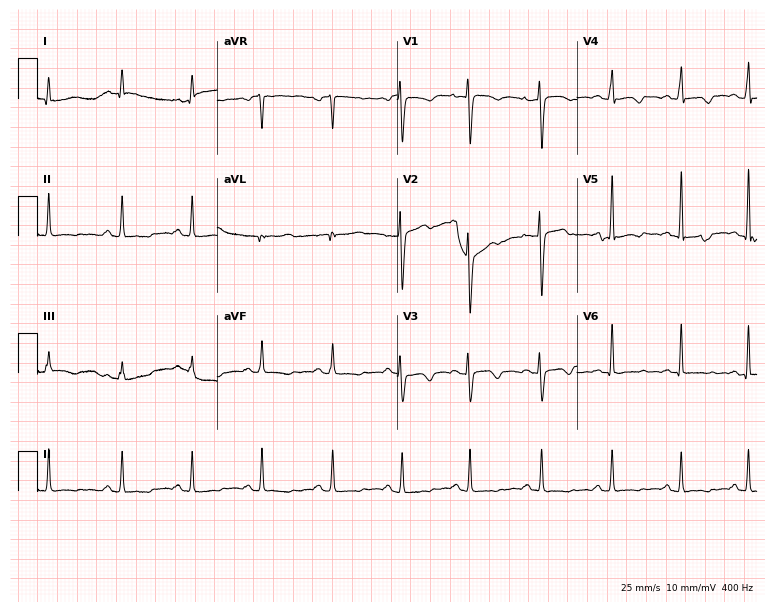
Electrocardiogram (7.3-second recording at 400 Hz), a female, 32 years old. Of the six screened findings (first-degree AV block, right bundle branch block, left bundle branch block, sinus bradycardia, atrial fibrillation, sinus tachycardia), none is recorded.